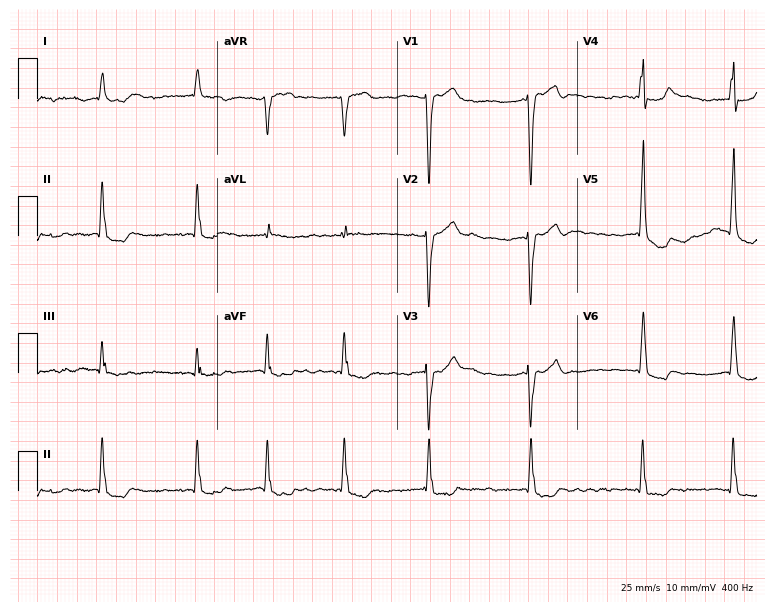
12-lead ECG (7.3-second recording at 400 Hz) from a male, 80 years old. Screened for six findings — first-degree AV block, right bundle branch block (RBBB), left bundle branch block (LBBB), sinus bradycardia, atrial fibrillation (AF), sinus tachycardia — none is recorded.